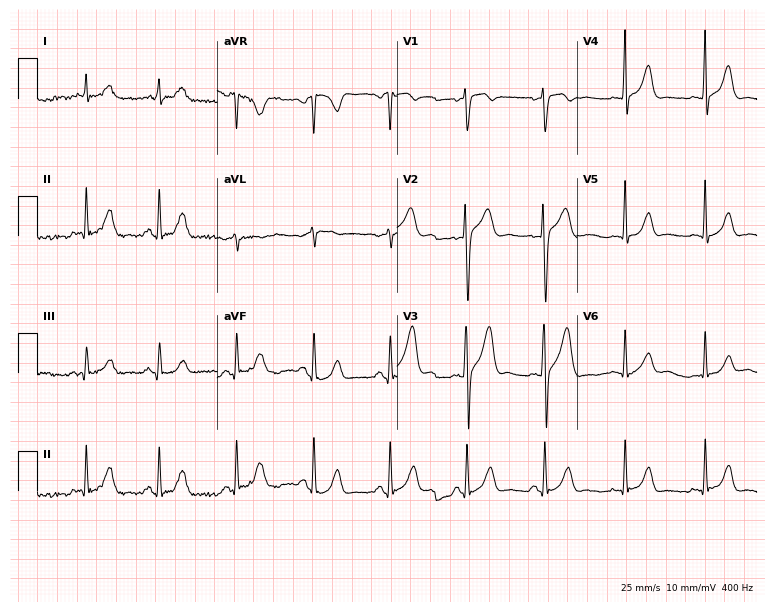
Resting 12-lead electrocardiogram (7.3-second recording at 400 Hz). Patient: a 28-year-old male. Read as a normal ECG.